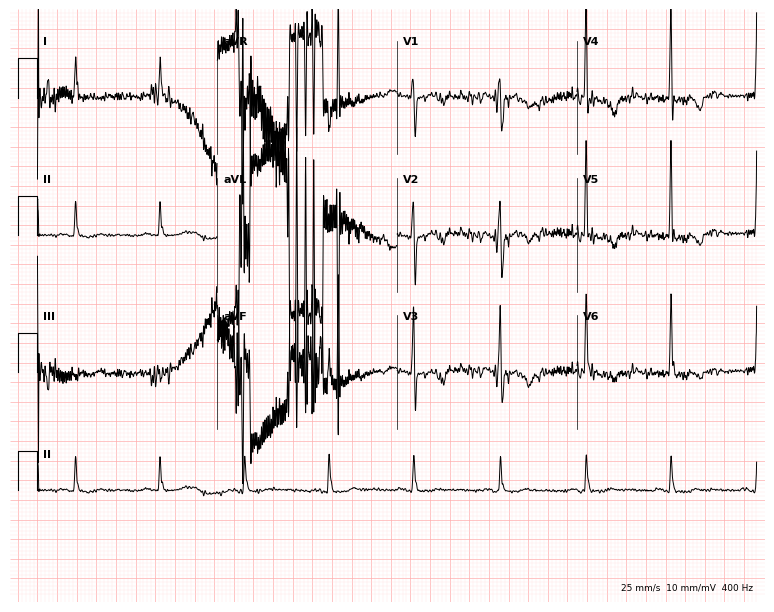
Electrocardiogram (7.3-second recording at 400 Hz), a 76-year-old female. Of the six screened findings (first-degree AV block, right bundle branch block (RBBB), left bundle branch block (LBBB), sinus bradycardia, atrial fibrillation (AF), sinus tachycardia), none is recorded. Only these six findings were labelled.